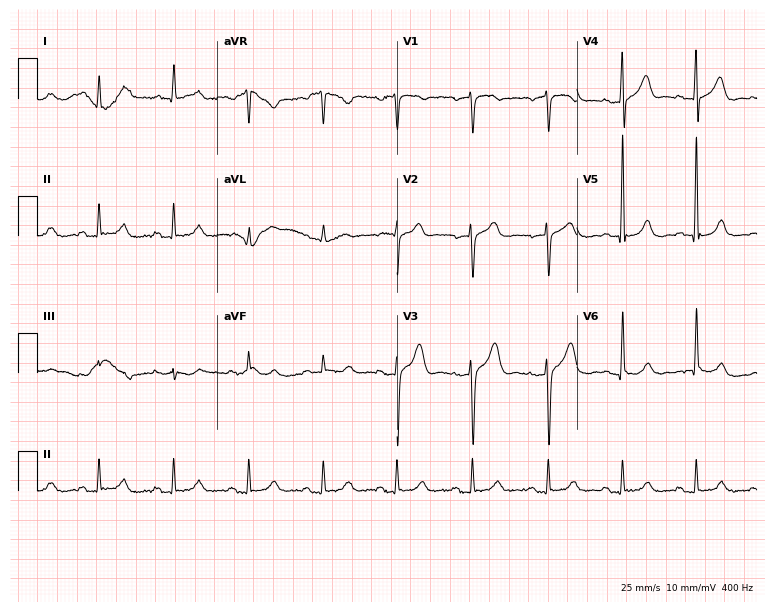
Resting 12-lead electrocardiogram (7.3-second recording at 400 Hz). Patient: a 66-year-old male. None of these six findings is recorded: first-degree AV block, right bundle branch block, left bundle branch block, sinus bradycardia, atrial fibrillation, sinus tachycardia. Other findings, if any, are not listed.